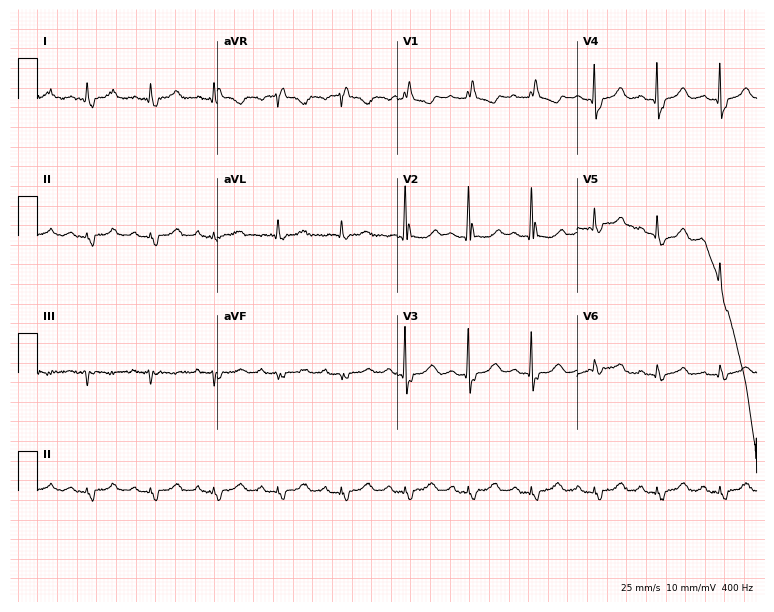
12-lead ECG (7.3-second recording at 400 Hz) from a female, 78 years old. Findings include right bundle branch block.